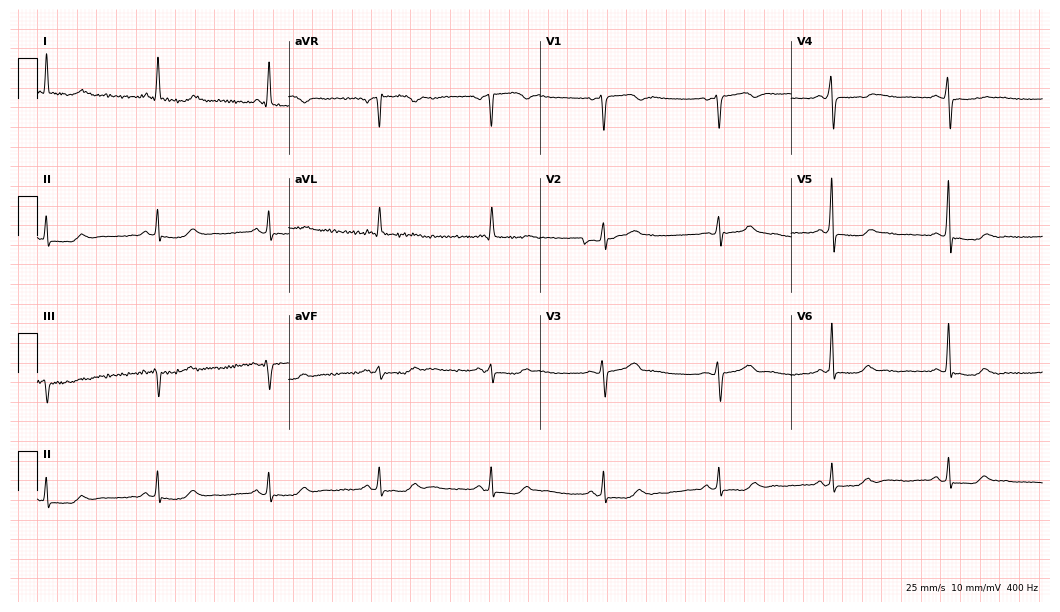
Resting 12-lead electrocardiogram. Patient: a 56-year-old female. None of these six findings is recorded: first-degree AV block, right bundle branch block, left bundle branch block, sinus bradycardia, atrial fibrillation, sinus tachycardia.